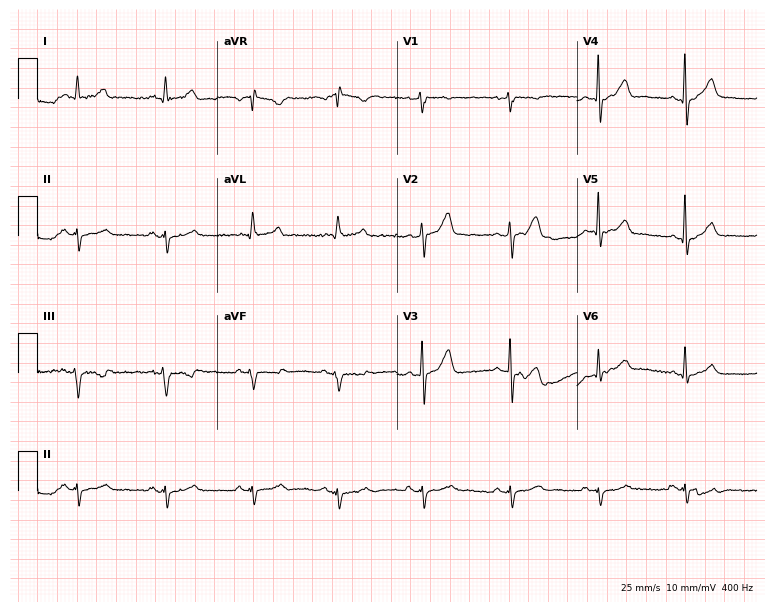
12-lead ECG from a 59-year-old male patient. Recorded interpretation: within normal limits.